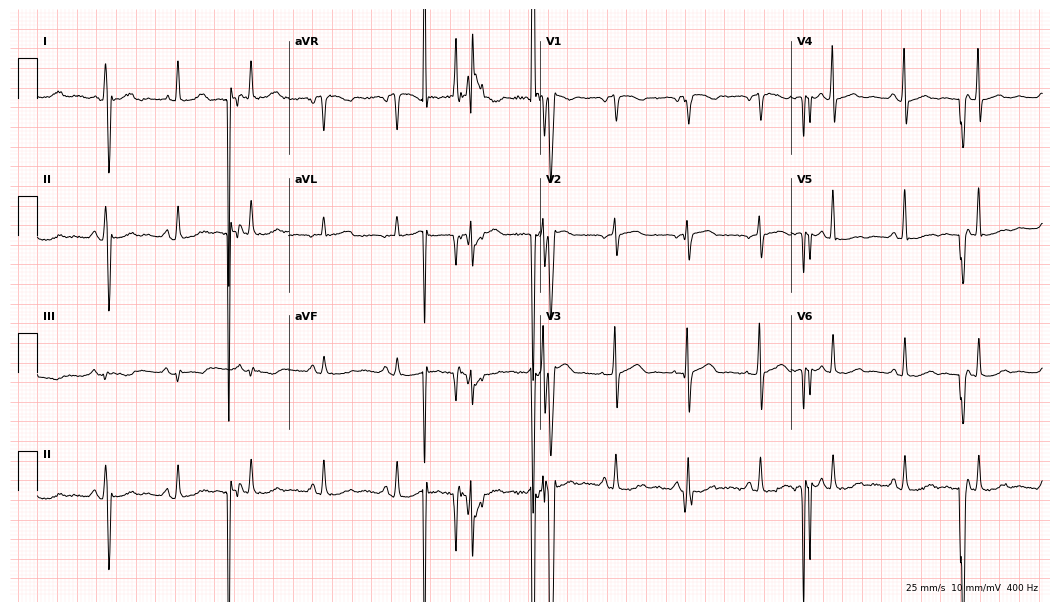
12-lead ECG (10.2-second recording at 400 Hz) from a 38-year-old woman. Screened for six findings — first-degree AV block, right bundle branch block, left bundle branch block, sinus bradycardia, atrial fibrillation, sinus tachycardia — none is recorded.